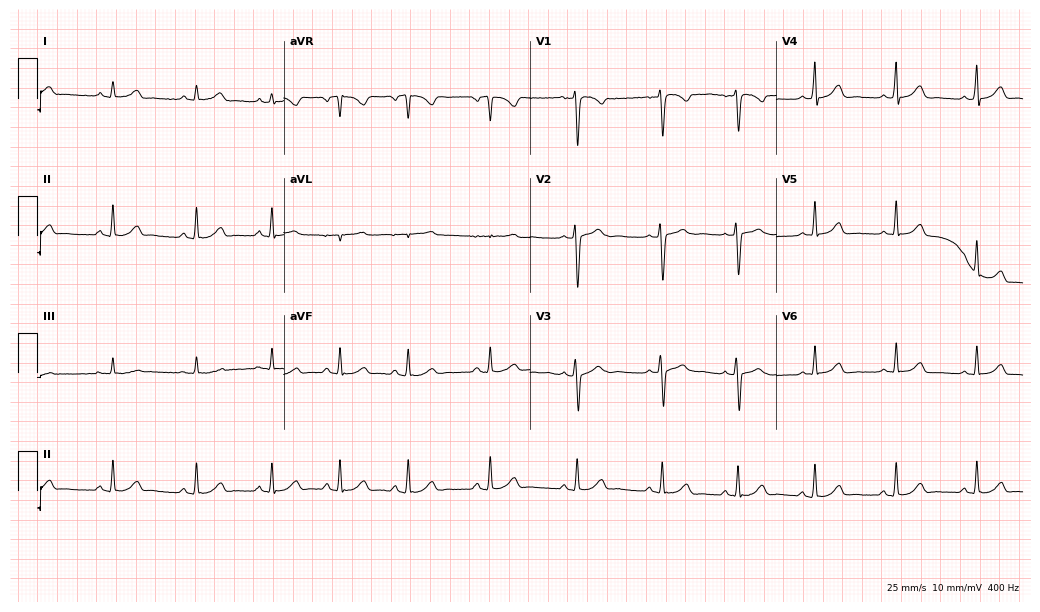
12-lead ECG from a female, 26 years old. Labelled as a normal ECG.